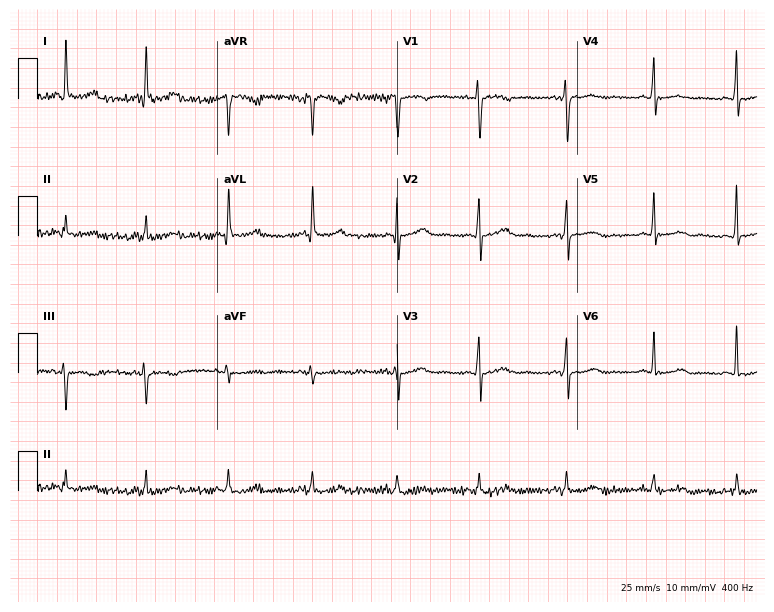
ECG — a 44-year-old woman. Labelled as a normal ECG.